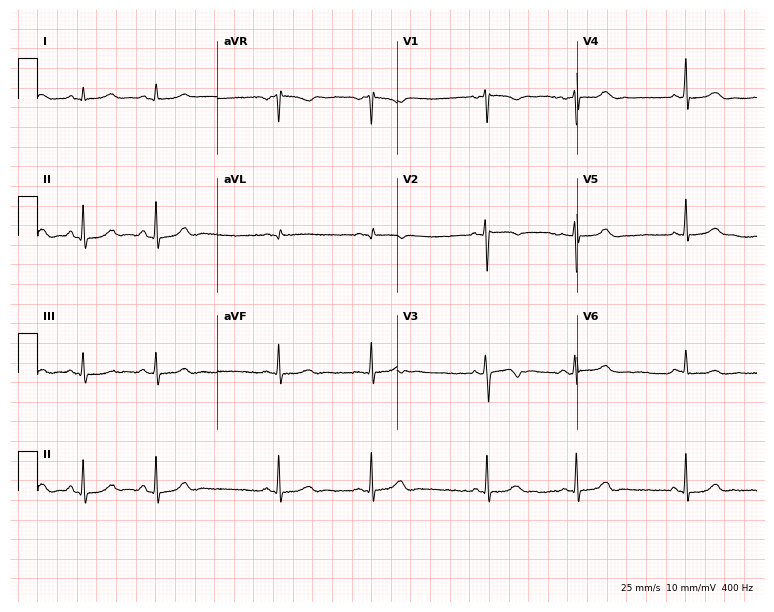
ECG — a 20-year-old female patient. Labelled as a normal ECG.